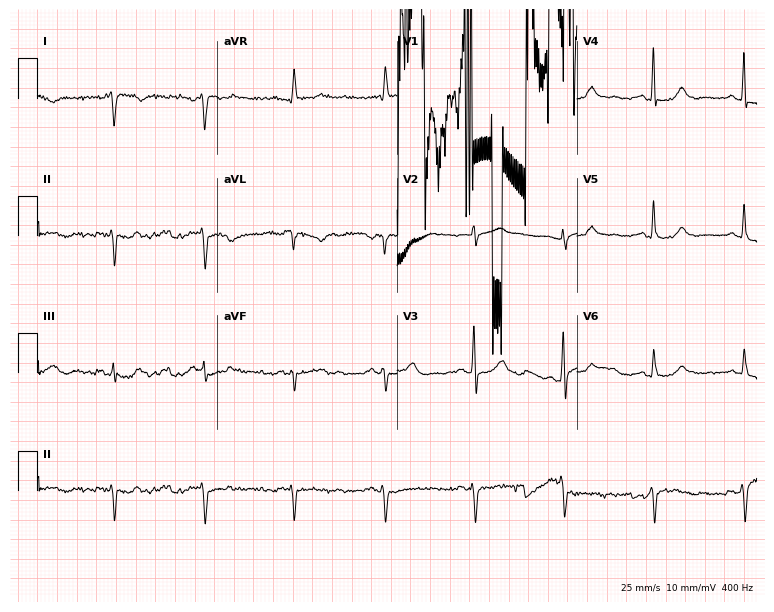
ECG (7.3-second recording at 400 Hz) — a 74-year-old man. Screened for six findings — first-degree AV block, right bundle branch block, left bundle branch block, sinus bradycardia, atrial fibrillation, sinus tachycardia — none is recorded.